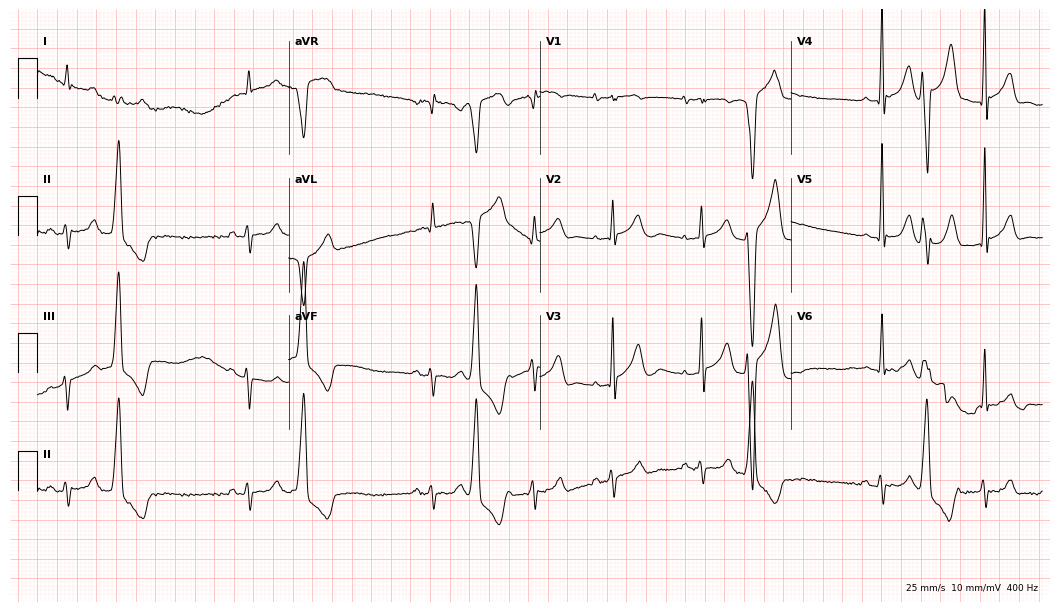
12-lead ECG from an 80-year-old male. Screened for six findings — first-degree AV block, right bundle branch block (RBBB), left bundle branch block (LBBB), sinus bradycardia, atrial fibrillation (AF), sinus tachycardia — none is recorded.